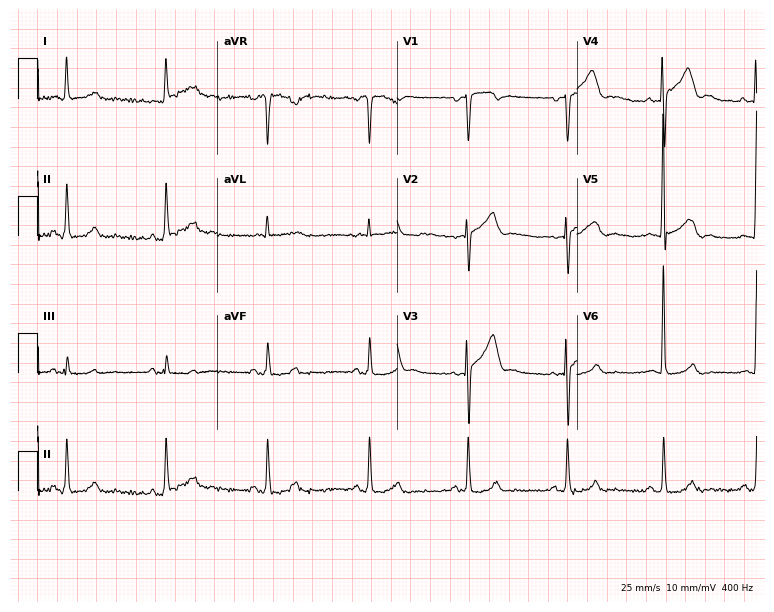
ECG — a 71-year-old male. Screened for six findings — first-degree AV block, right bundle branch block (RBBB), left bundle branch block (LBBB), sinus bradycardia, atrial fibrillation (AF), sinus tachycardia — none is recorded. Other findings, if any, are not listed.